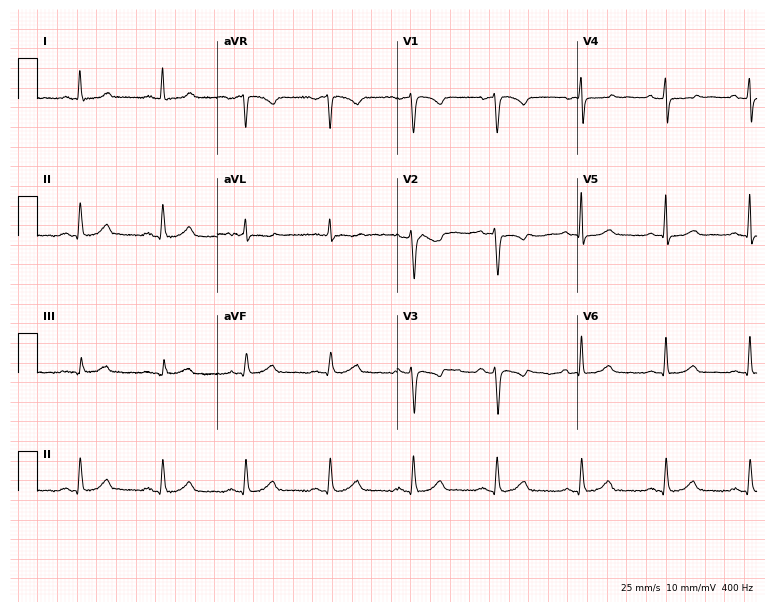
Resting 12-lead electrocardiogram. Patient: a 45-year-old woman. None of these six findings is recorded: first-degree AV block, right bundle branch block, left bundle branch block, sinus bradycardia, atrial fibrillation, sinus tachycardia. Other findings, if any, are not listed.